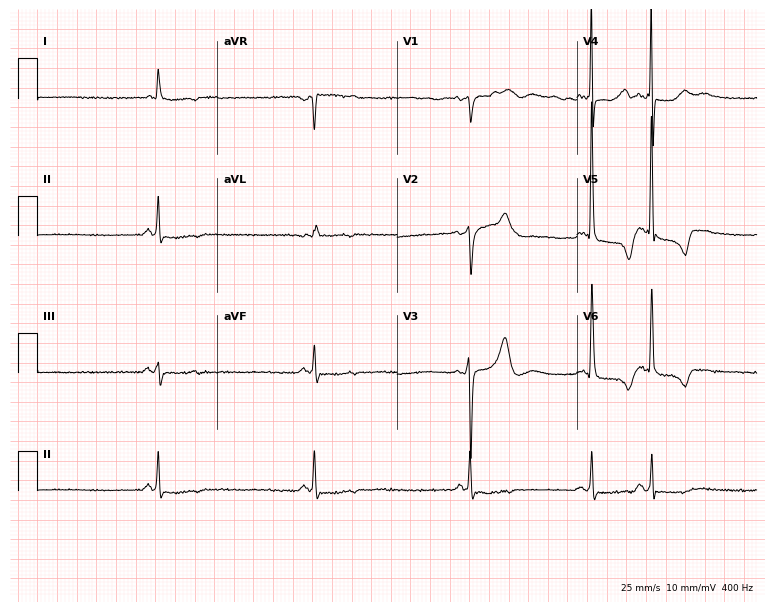
Standard 12-lead ECG recorded from an 80-year-old man. The tracing shows sinus bradycardia (a sinus rate of 50 beats per minute or less).